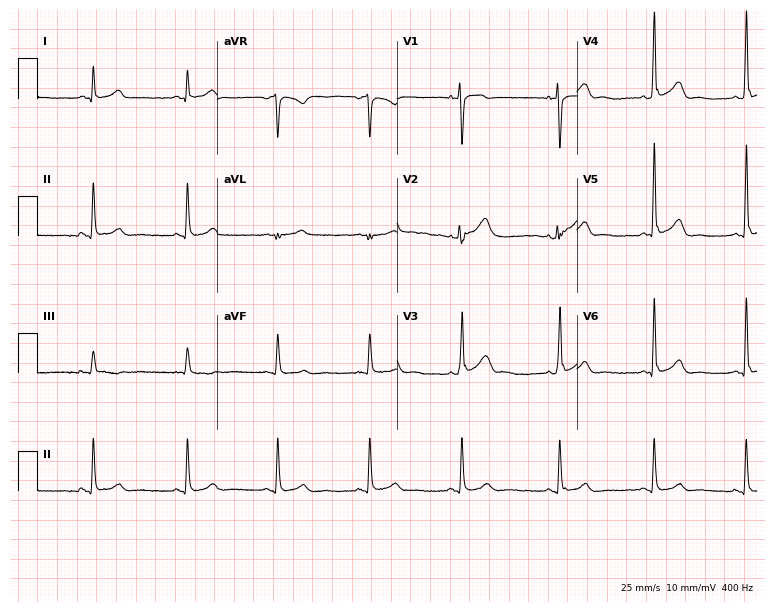
ECG — a male patient, 45 years old. Labelled as a normal ECG.